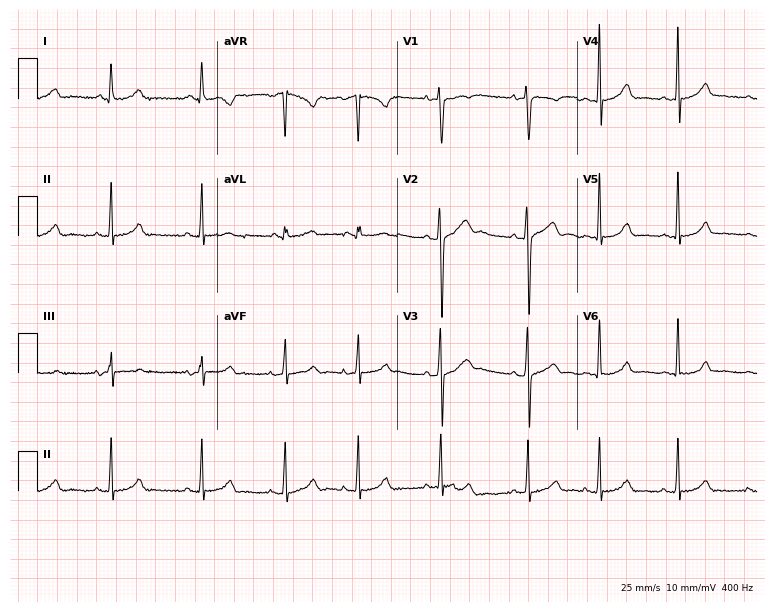
12-lead ECG from a 19-year-old female (7.3-second recording at 400 Hz). No first-degree AV block, right bundle branch block (RBBB), left bundle branch block (LBBB), sinus bradycardia, atrial fibrillation (AF) or sinus tachycardia recorded for this tracing.